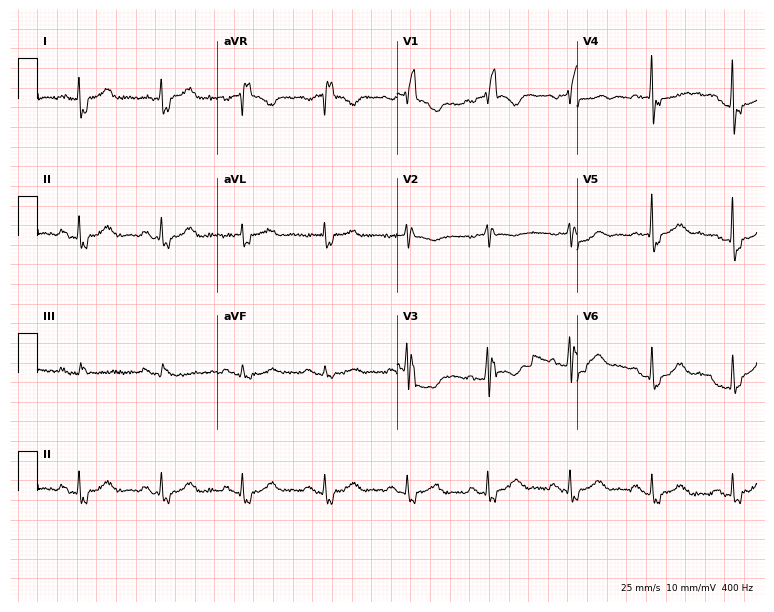
Standard 12-lead ECG recorded from a female, 80 years old. The tracing shows right bundle branch block.